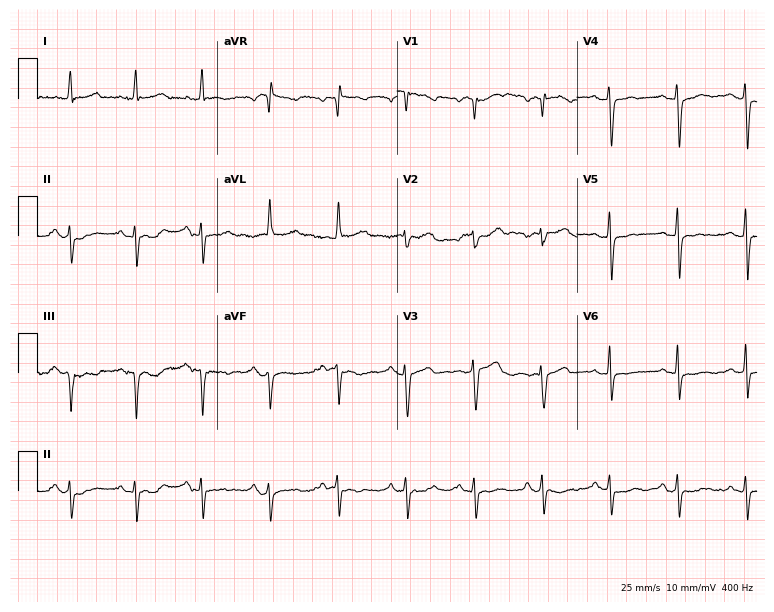
12-lead ECG from a female patient, 50 years old. Screened for six findings — first-degree AV block, right bundle branch block, left bundle branch block, sinus bradycardia, atrial fibrillation, sinus tachycardia — none is recorded. Only these six findings were labelled.